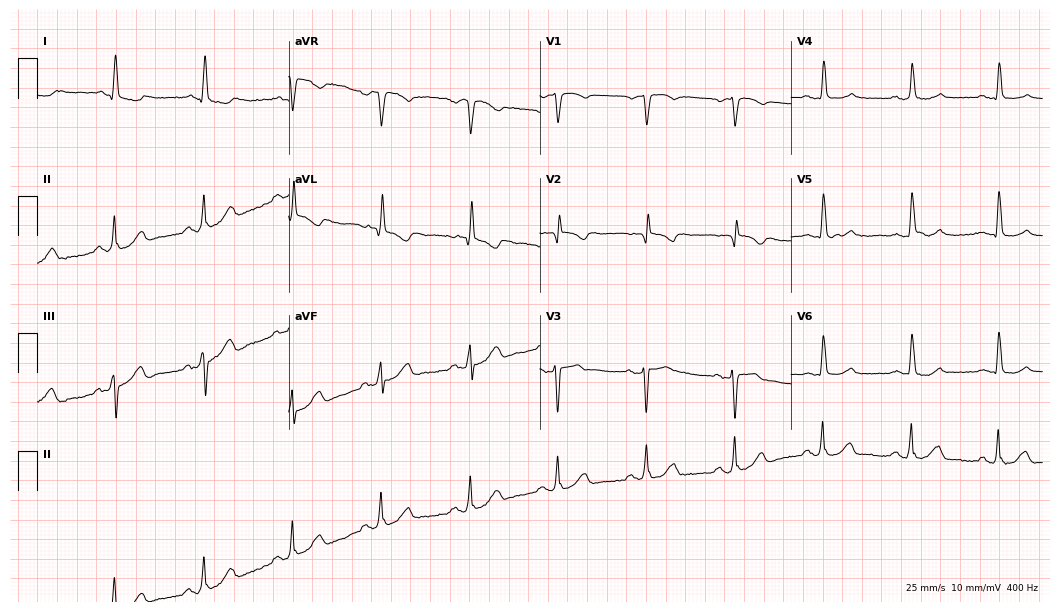
Resting 12-lead electrocardiogram. Patient: a woman, 77 years old. None of these six findings is recorded: first-degree AV block, right bundle branch block, left bundle branch block, sinus bradycardia, atrial fibrillation, sinus tachycardia. Other findings, if any, are not listed.